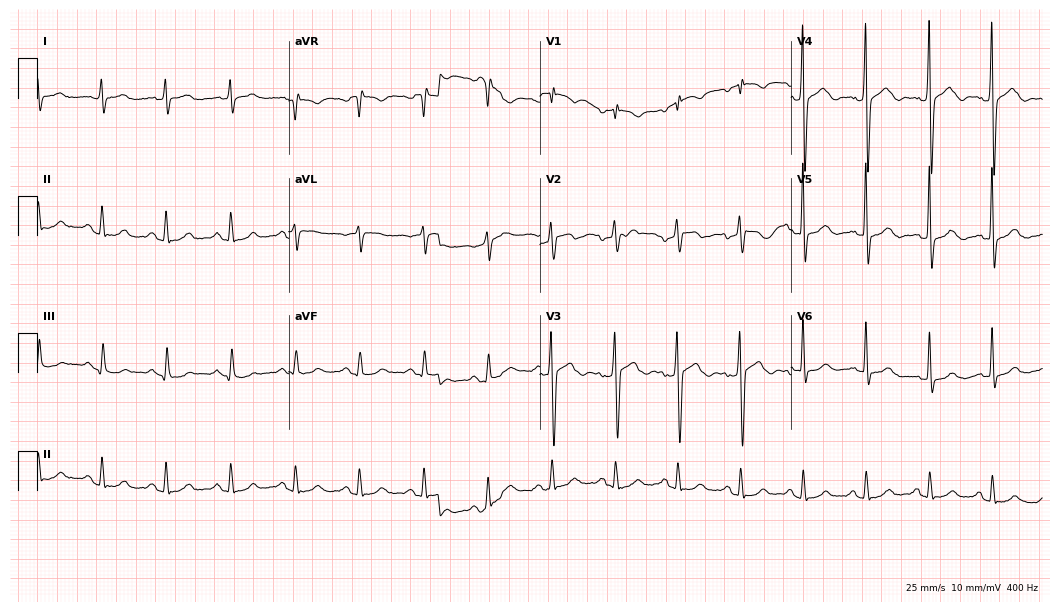
12-lead ECG from a male, 58 years old. Labelled as a normal ECG.